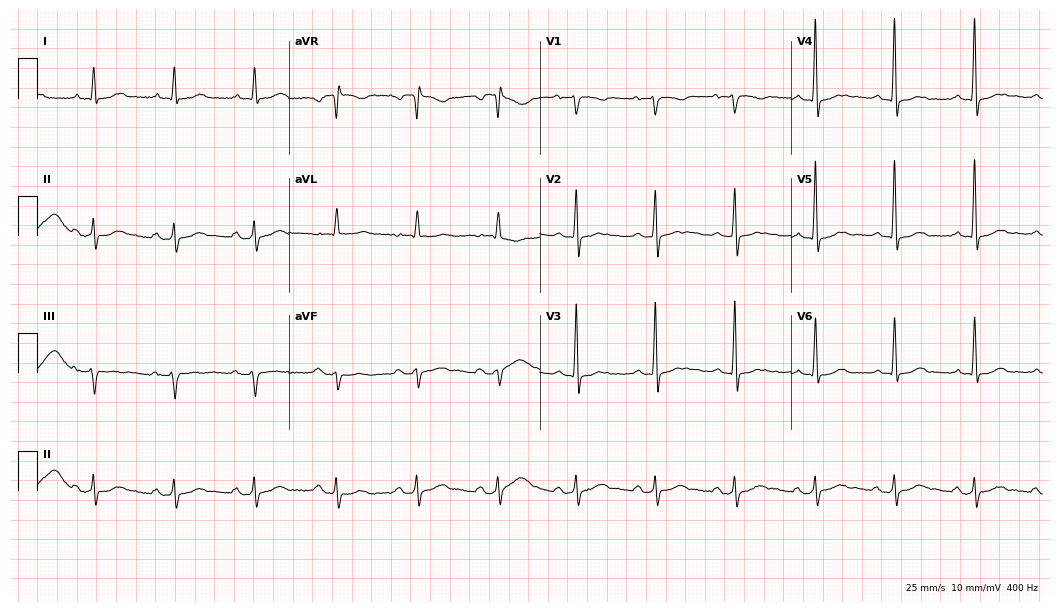
ECG (10.2-second recording at 400 Hz) — a woman, 72 years old. Screened for six findings — first-degree AV block, right bundle branch block (RBBB), left bundle branch block (LBBB), sinus bradycardia, atrial fibrillation (AF), sinus tachycardia — none is recorded. Findings outside these six are not listed.